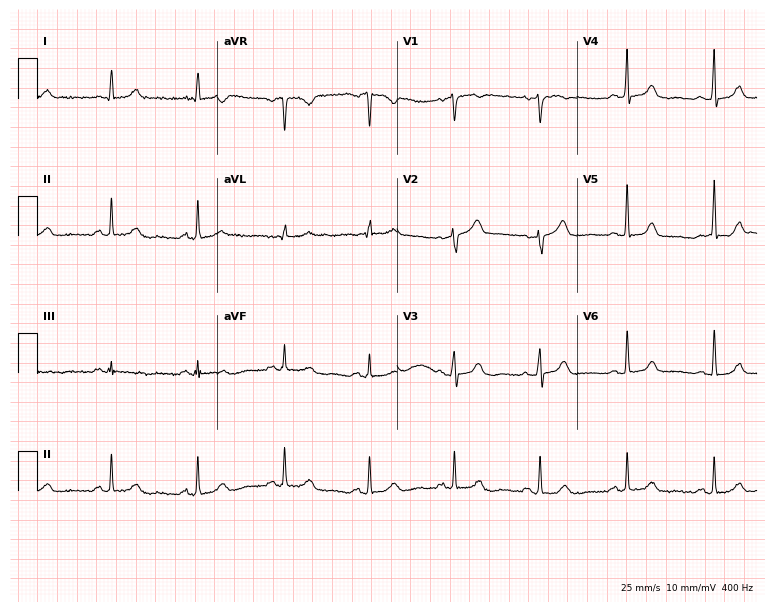
12-lead ECG (7.3-second recording at 400 Hz) from a 53-year-old woman. Labelled as a normal ECG.